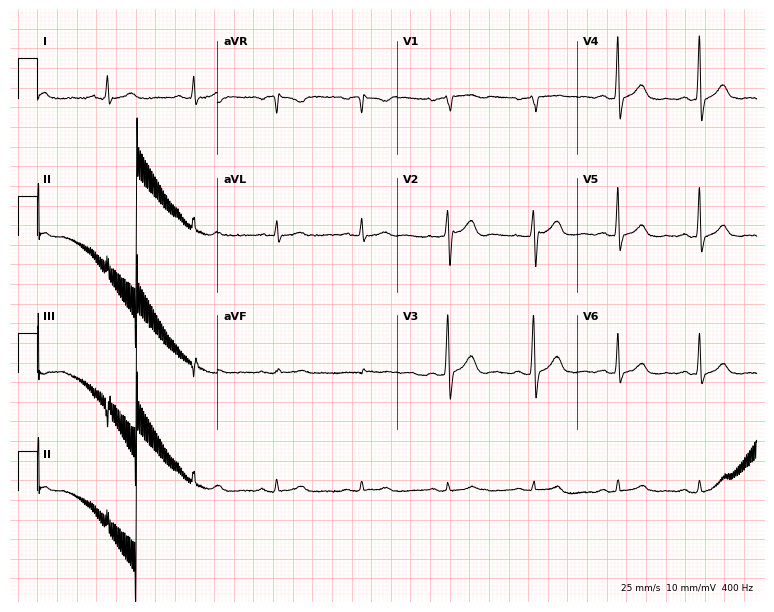
Electrocardiogram (7.3-second recording at 400 Hz), a 59-year-old man. Of the six screened findings (first-degree AV block, right bundle branch block, left bundle branch block, sinus bradycardia, atrial fibrillation, sinus tachycardia), none is recorded. Other findings, if any, are not listed.